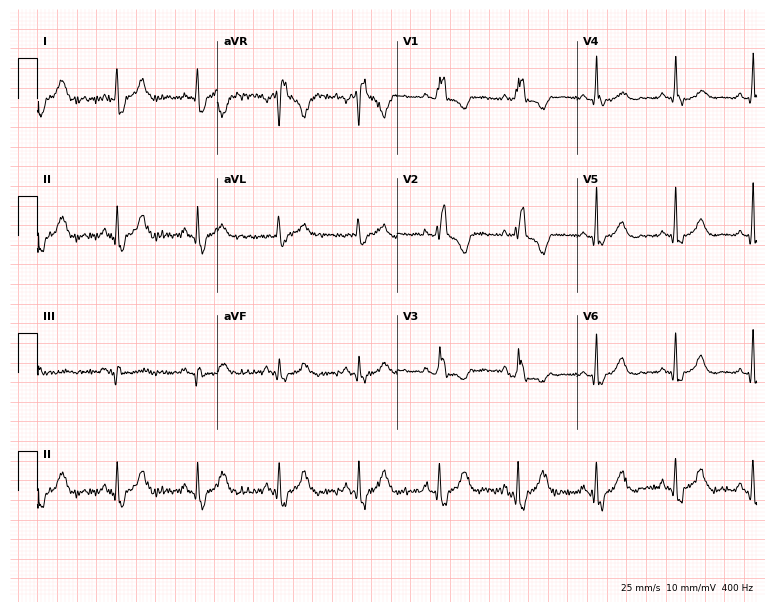
Electrocardiogram (7.3-second recording at 400 Hz), a woman, 50 years old. Interpretation includes right bundle branch block (RBBB).